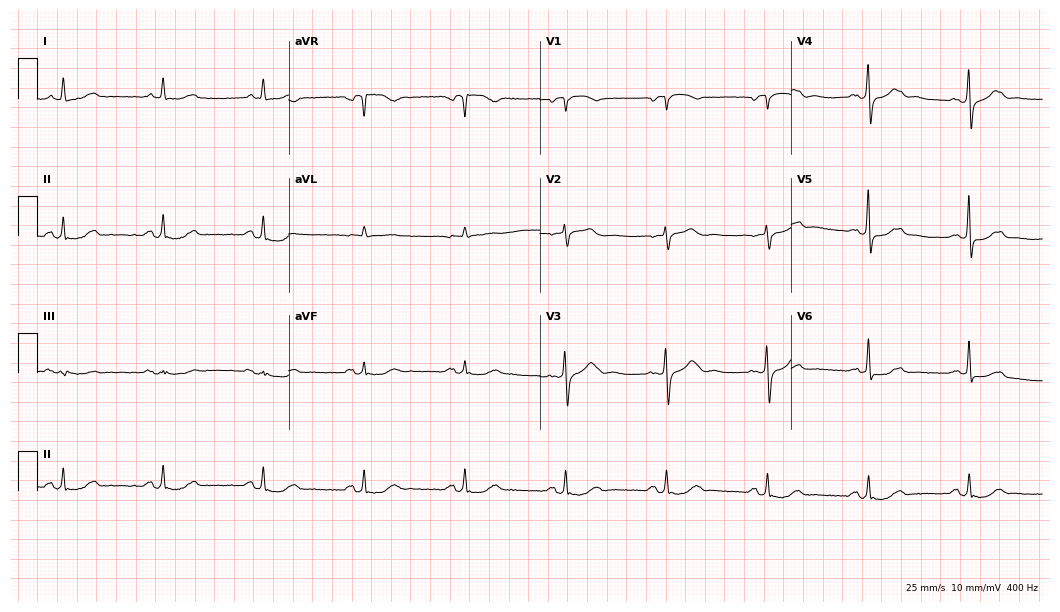
ECG (10.2-second recording at 400 Hz) — an 83-year-old man. Screened for six findings — first-degree AV block, right bundle branch block (RBBB), left bundle branch block (LBBB), sinus bradycardia, atrial fibrillation (AF), sinus tachycardia — none is recorded. Other findings, if any, are not listed.